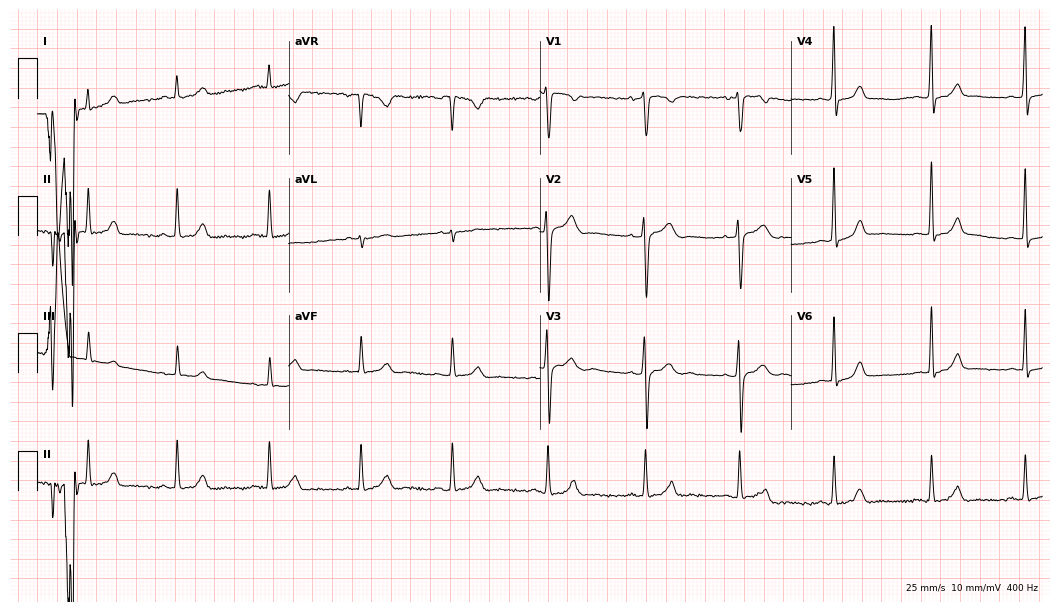
ECG — a 21-year-old man. Labelled as a normal ECG.